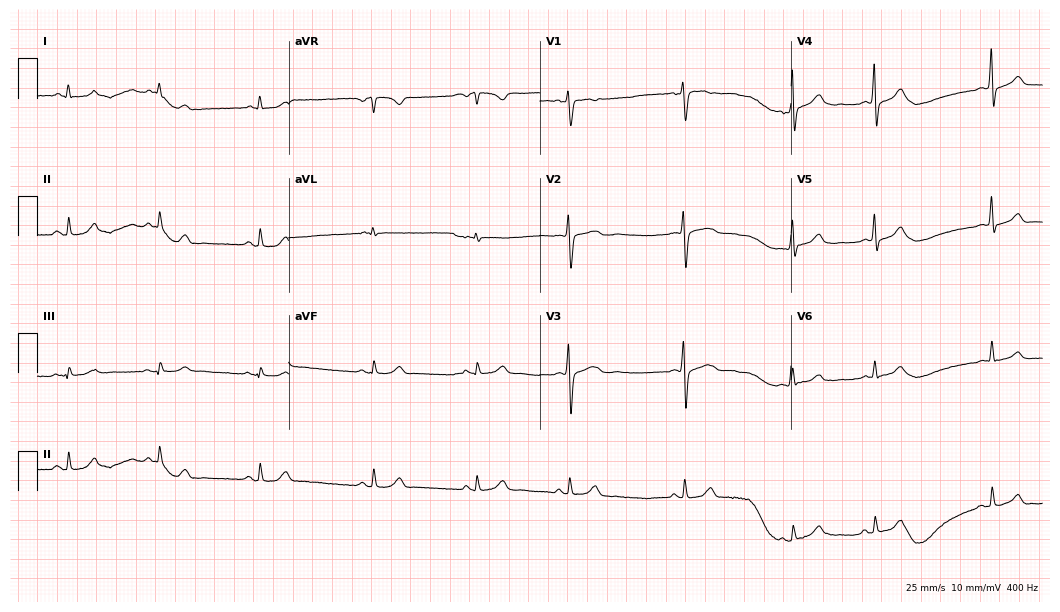
12-lead ECG from a 21-year-old woman. Screened for six findings — first-degree AV block, right bundle branch block, left bundle branch block, sinus bradycardia, atrial fibrillation, sinus tachycardia — none is recorded.